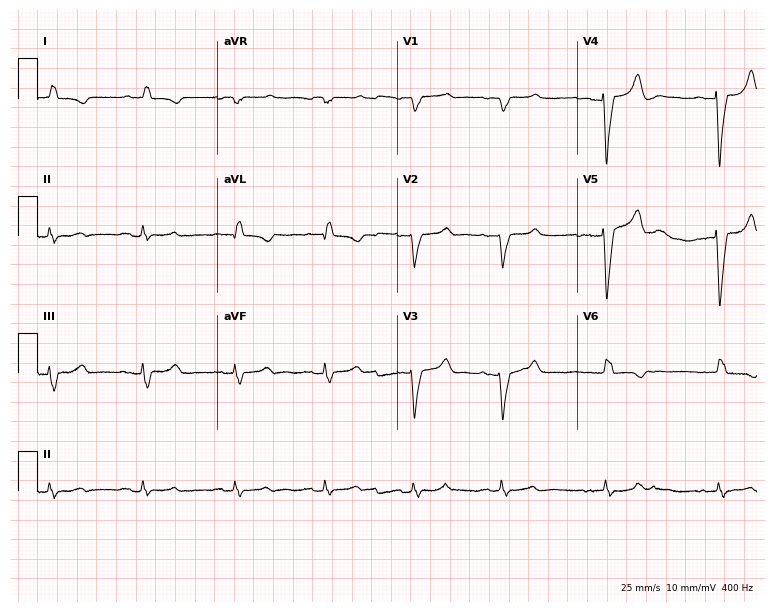
Standard 12-lead ECG recorded from a woman, 71 years old (7.3-second recording at 400 Hz). The tracing shows left bundle branch block.